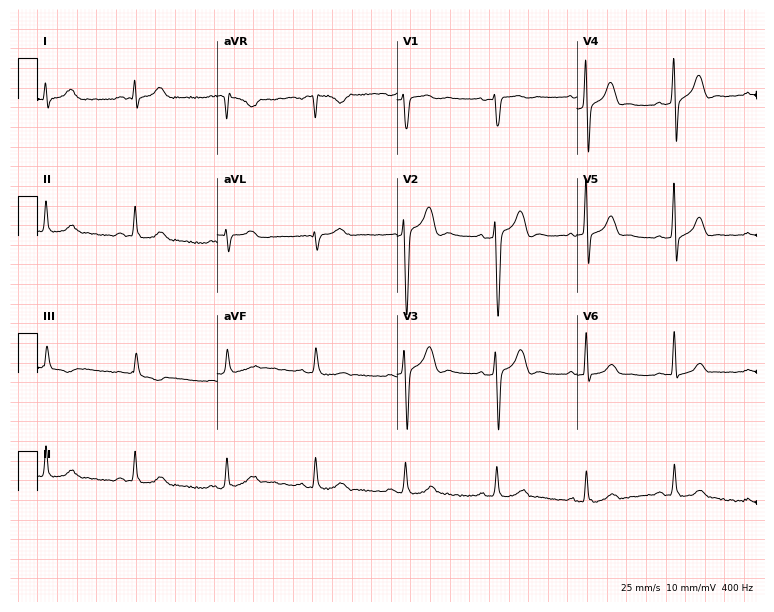
12-lead ECG from a man, 45 years old (7.3-second recording at 400 Hz). No first-degree AV block, right bundle branch block, left bundle branch block, sinus bradycardia, atrial fibrillation or sinus tachycardia recorded for this tracing. Findings outside these six are not listed.